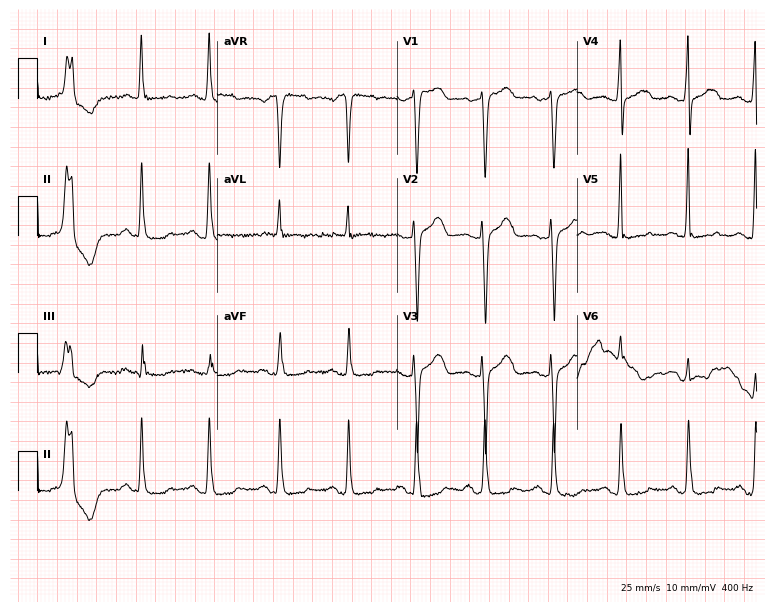
ECG — a 68-year-old female. Screened for six findings — first-degree AV block, right bundle branch block, left bundle branch block, sinus bradycardia, atrial fibrillation, sinus tachycardia — none is recorded. Only these six findings were labelled.